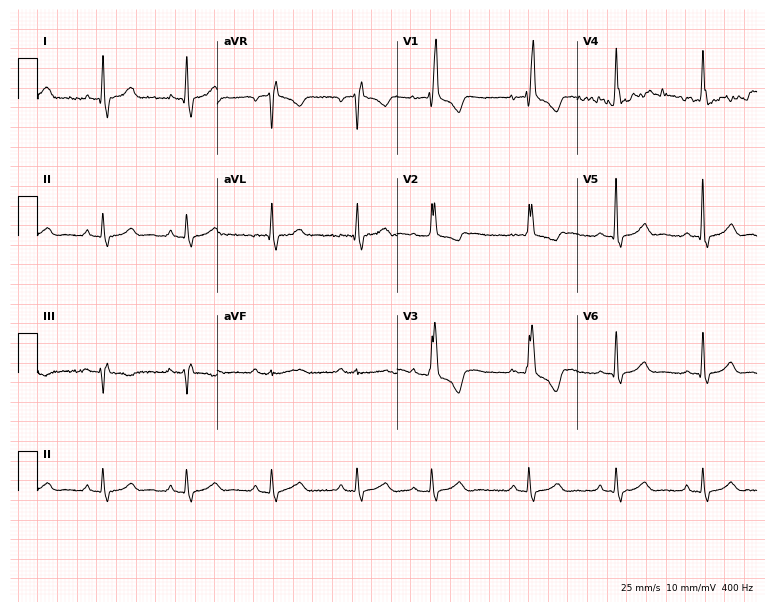
Resting 12-lead electrocardiogram. Patient: a 62-year-old woman. The tracing shows right bundle branch block (RBBB).